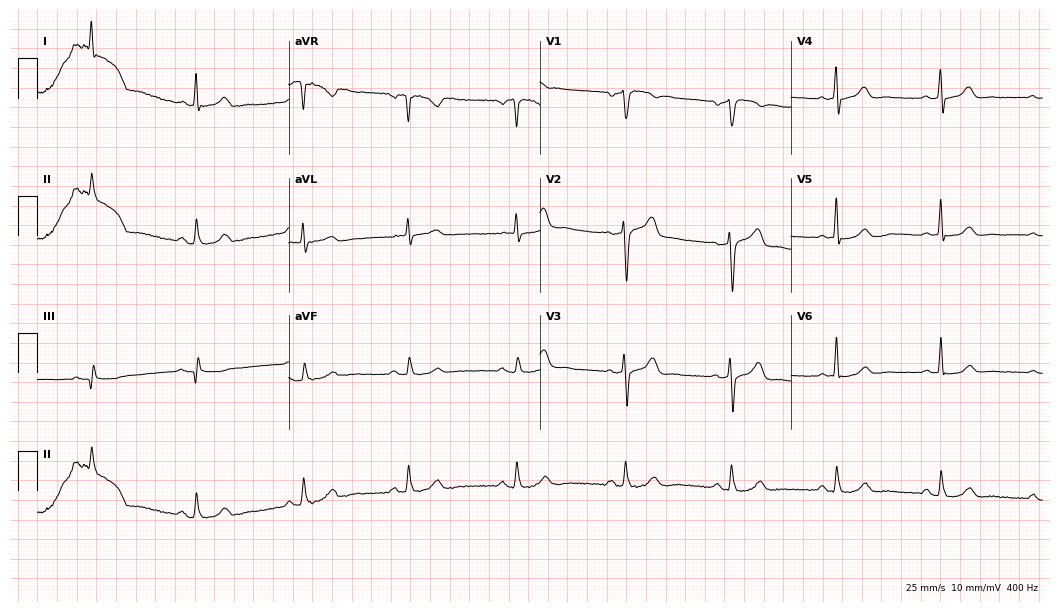
12-lead ECG from a 63-year-old male patient. Labelled as a normal ECG.